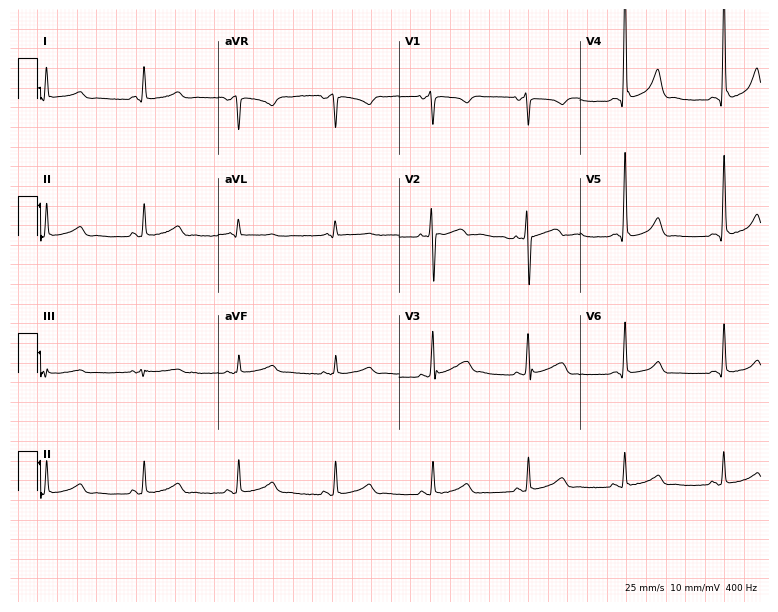
Resting 12-lead electrocardiogram (7.4-second recording at 400 Hz). Patient: a 31-year-old male. None of these six findings is recorded: first-degree AV block, right bundle branch block (RBBB), left bundle branch block (LBBB), sinus bradycardia, atrial fibrillation (AF), sinus tachycardia.